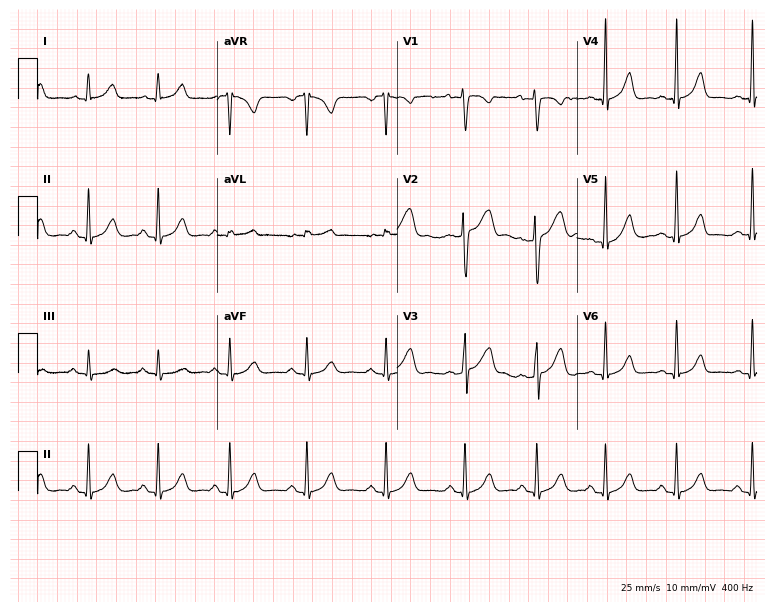
Electrocardiogram, a 34-year-old female patient. Overall reading on record: normal ECG.